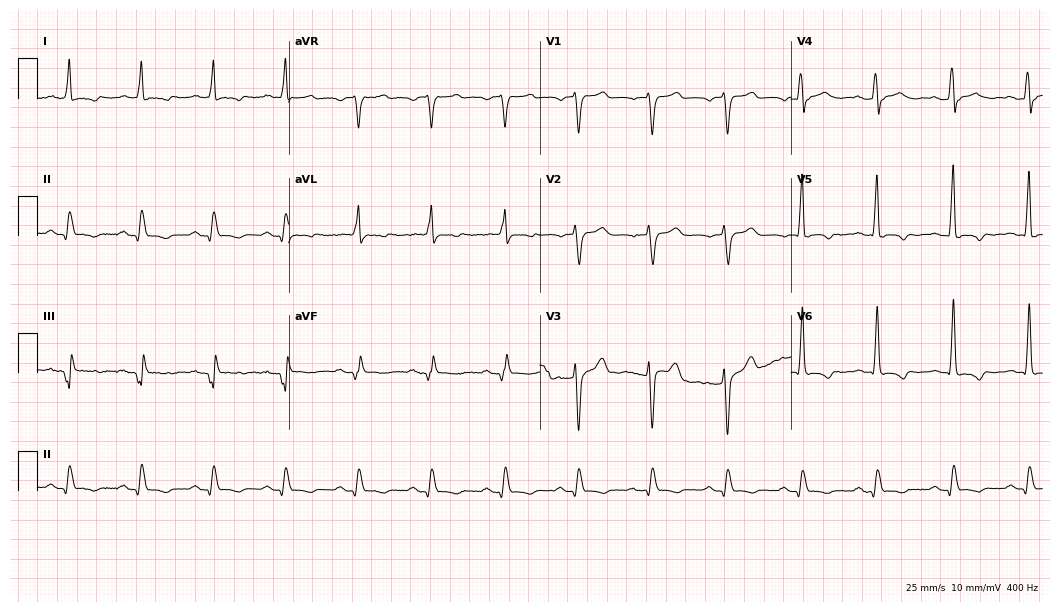
ECG — an 82-year-old male patient. Screened for six findings — first-degree AV block, right bundle branch block (RBBB), left bundle branch block (LBBB), sinus bradycardia, atrial fibrillation (AF), sinus tachycardia — none is recorded.